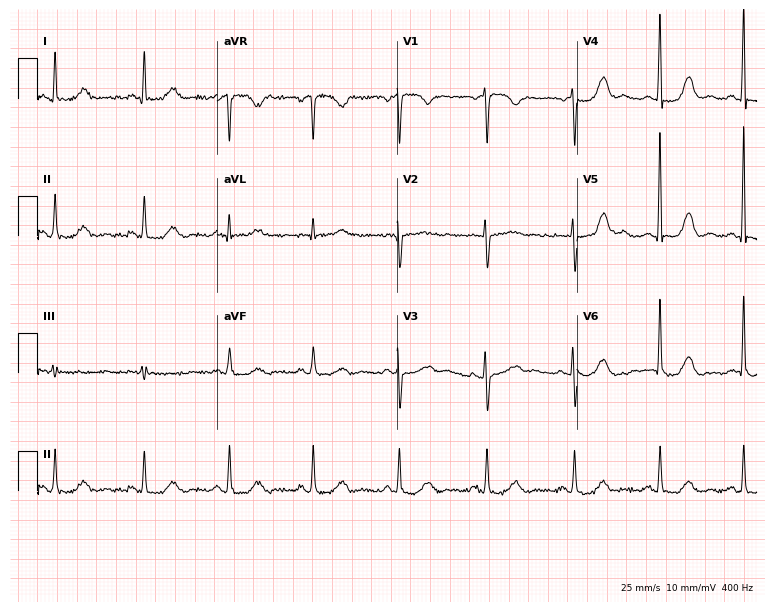
ECG — a female, 54 years old. Screened for six findings — first-degree AV block, right bundle branch block (RBBB), left bundle branch block (LBBB), sinus bradycardia, atrial fibrillation (AF), sinus tachycardia — none is recorded.